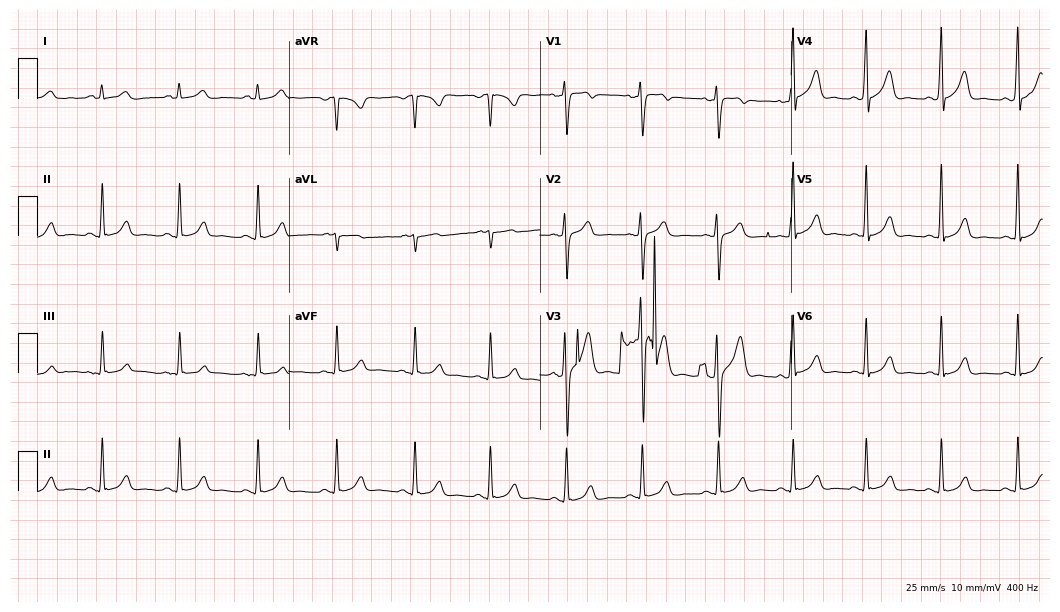
12-lead ECG from a man, 33 years old. Labelled as a normal ECG.